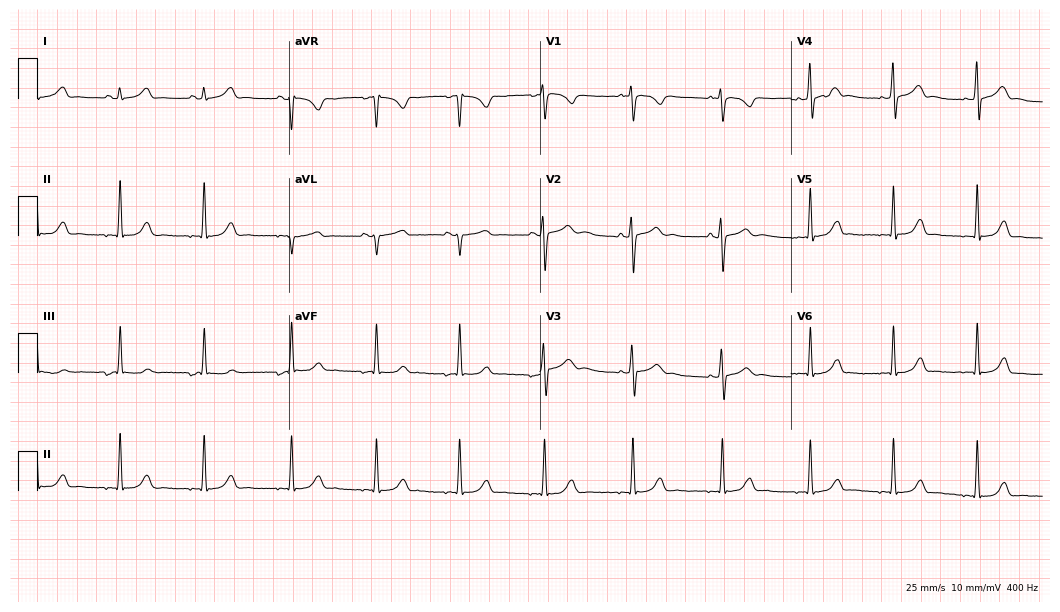
12-lead ECG from a female, 27 years old. No first-degree AV block, right bundle branch block (RBBB), left bundle branch block (LBBB), sinus bradycardia, atrial fibrillation (AF) or sinus tachycardia recorded for this tracing. Findings outside these six are not listed.